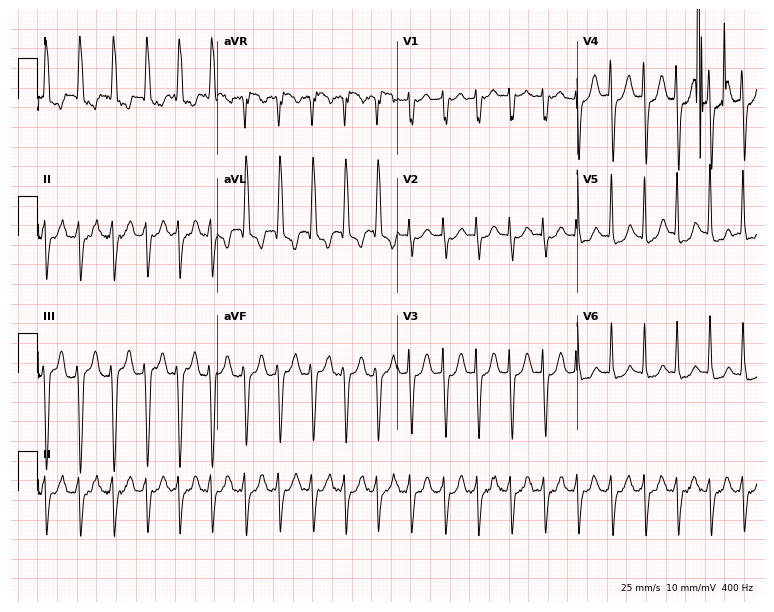
Electrocardiogram, a woman, 77 years old. Interpretation includes sinus tachycardia (a sinus rate of 100 beats per minute or more).